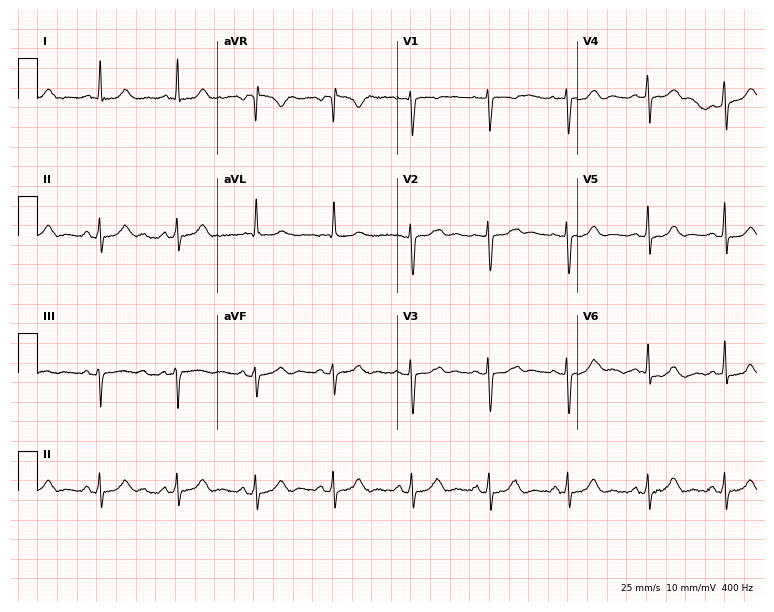
12-lead ECG (7.3-second recording at 400 Hz) from a female patient, 51 years old. Labelled as a normal ECG.